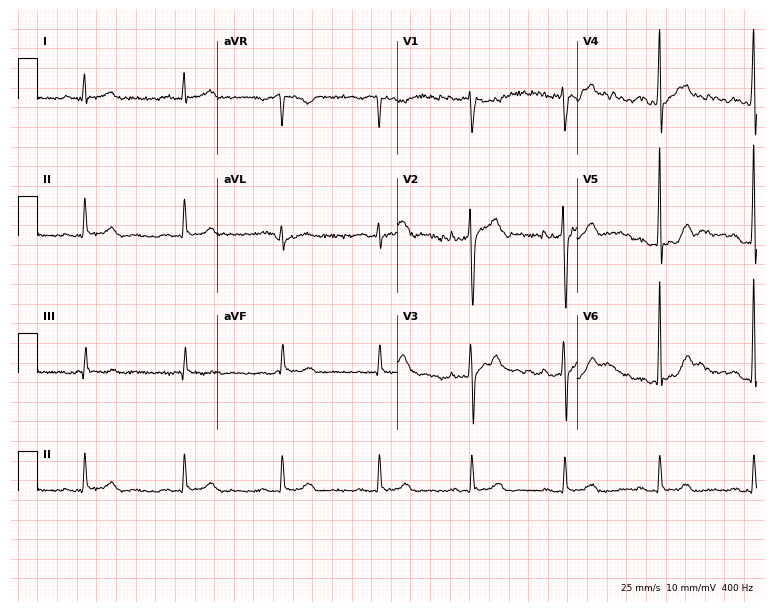
Standard 12-lead ECG recorded from a female, 42 years old. Read as a normal ECG.